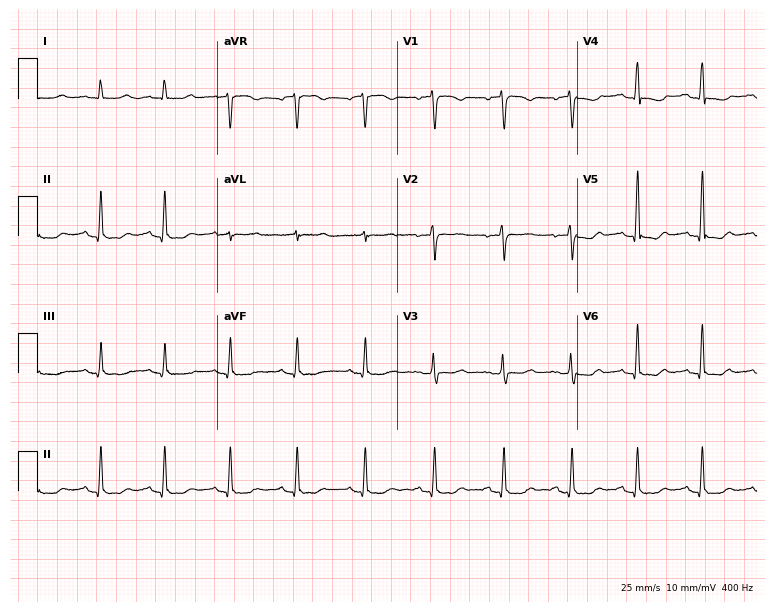
Resting 12-lead electrocardiogram. Patient: a woman, 36 years old. None of these six findings is recorded: first-degree AV block, right bundle branch block, left bundle branch block, sinus bradycardia, atrial fibrillation, sinus tachycardia. Findings outside these six are not listed.